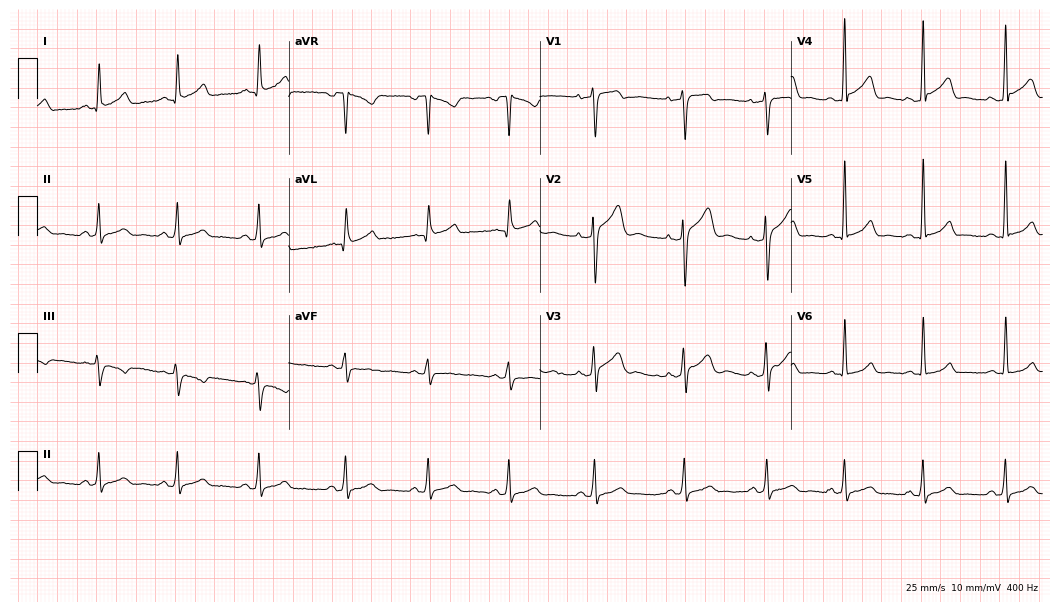
Electrocardiogram, a 29-year-old man. Overall reading on record: normal ECG.